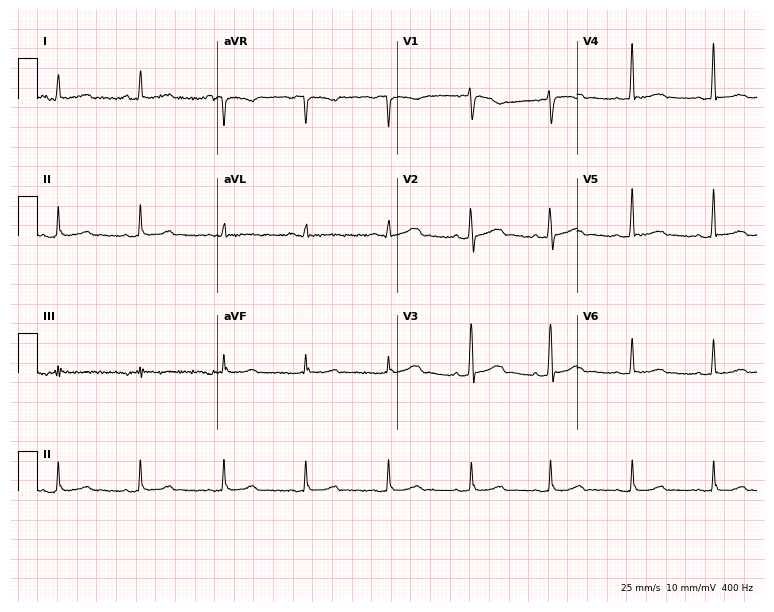
ECG — a 45-year-old female. Labelled as a normal ECG.